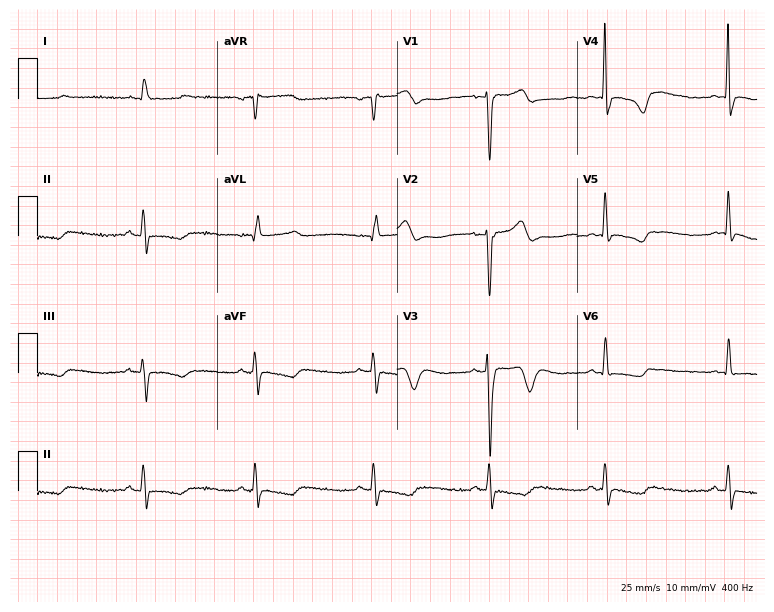
12-lead ECG from a 67-year-old female patient. No first-degree AV block, right bundle branch block, left bundle branch block, sinus bradycardia, atrial fibrillation or sinus tachycardia recorded for this tracing. Only these six findings were labelled.